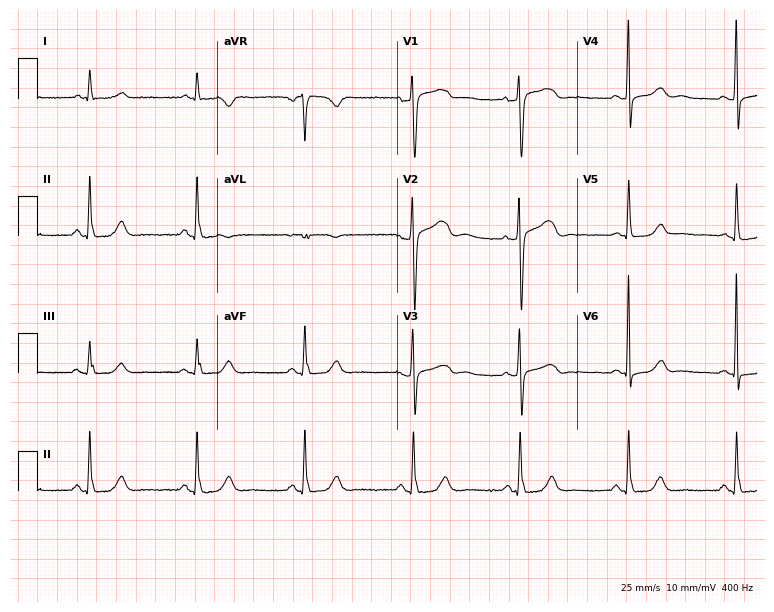
Standard 12-lead ECG recorded from a woman, 82 years old. Read as a normal ECG.